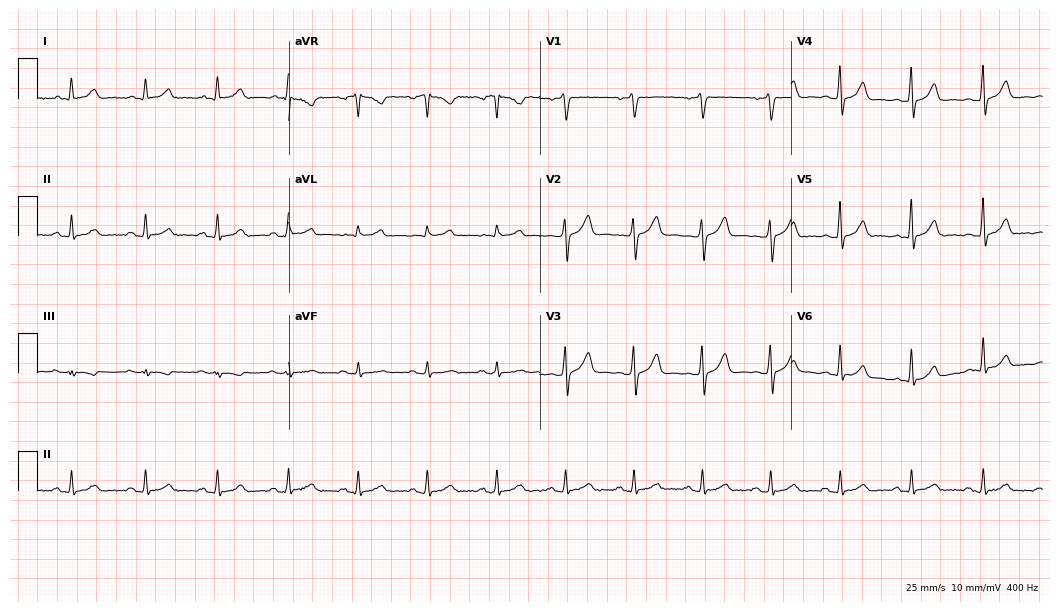
Electrocardiogram, a male, 40 years old. Overall reading on record: normal ECG.